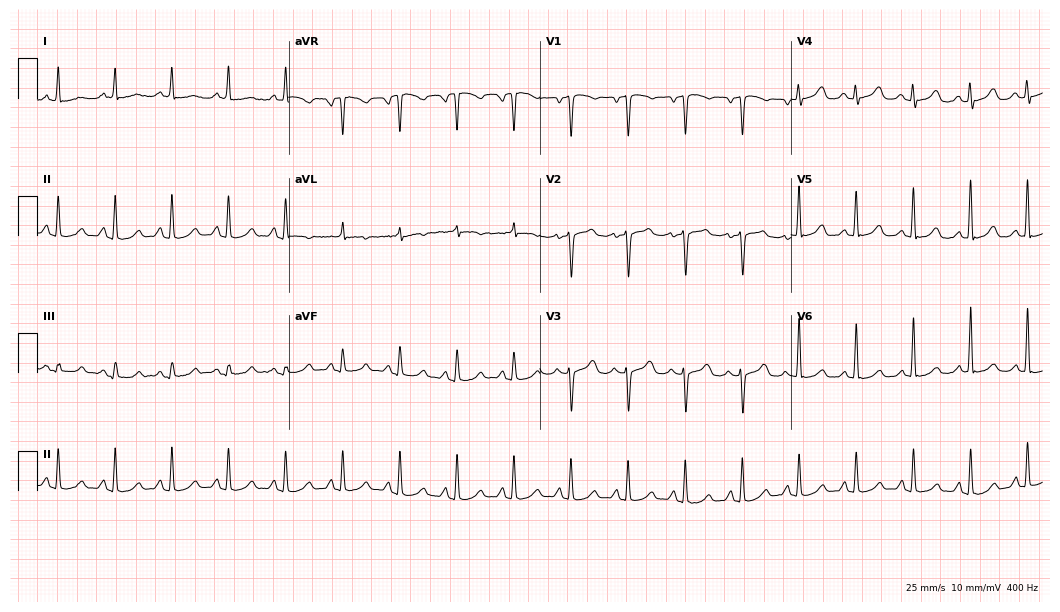
Resting 12-lead electrocardiogram. Patient: a 69-year-old female. The tracing shows sinus tachycardia (a sinus rate of 100 beats per minute or more).